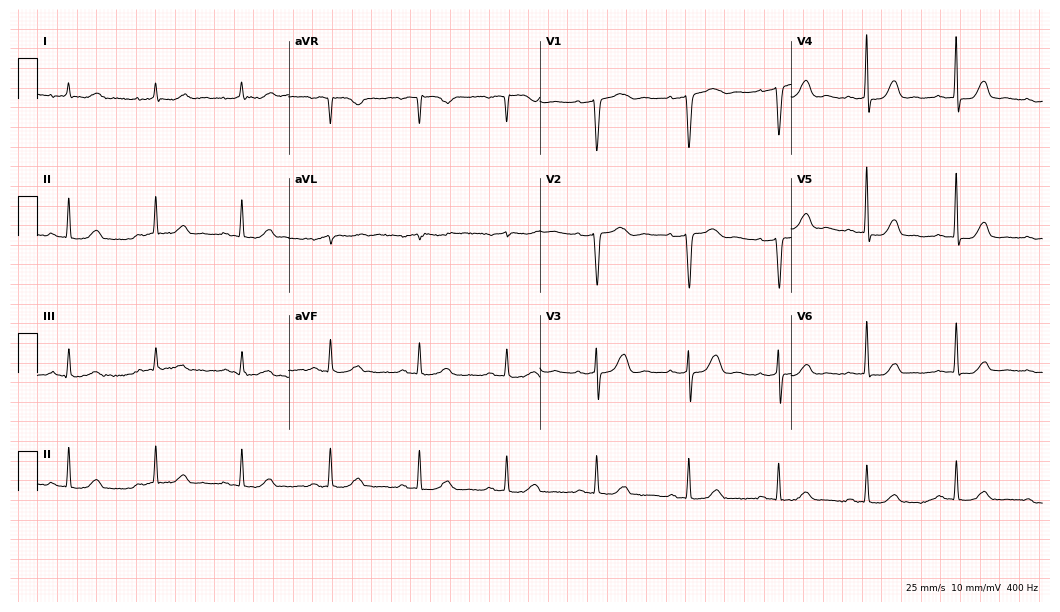
Resting 12-lead electrocardiogram (10.2-second recording at 400 Hz). Patient: a female, 70 years old. None of these six findings is recorded: first-degree AV block, right bundle branch block, left bundle branch block, sinus bradycardia, atrial fibrillation, sinus tachycardia.